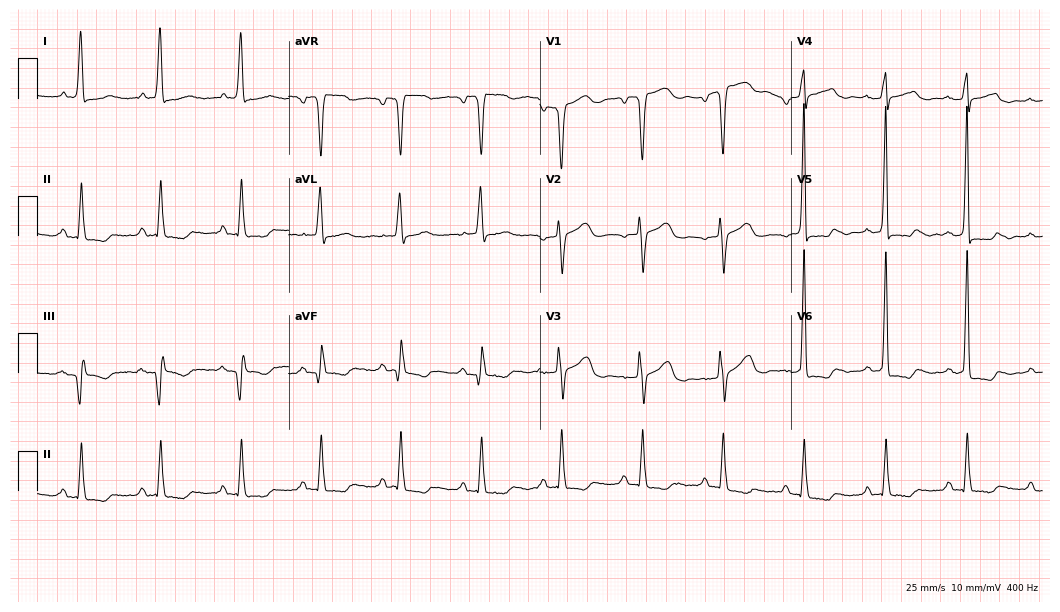
Electrocardiogram, a 71-year-old male patient. Of the six screened findings (first-degree AV block, right bundle branch block, left bundle branch block, sinus bradycardia, atrial fibrillation, sinus tachycardia), none is recorded.